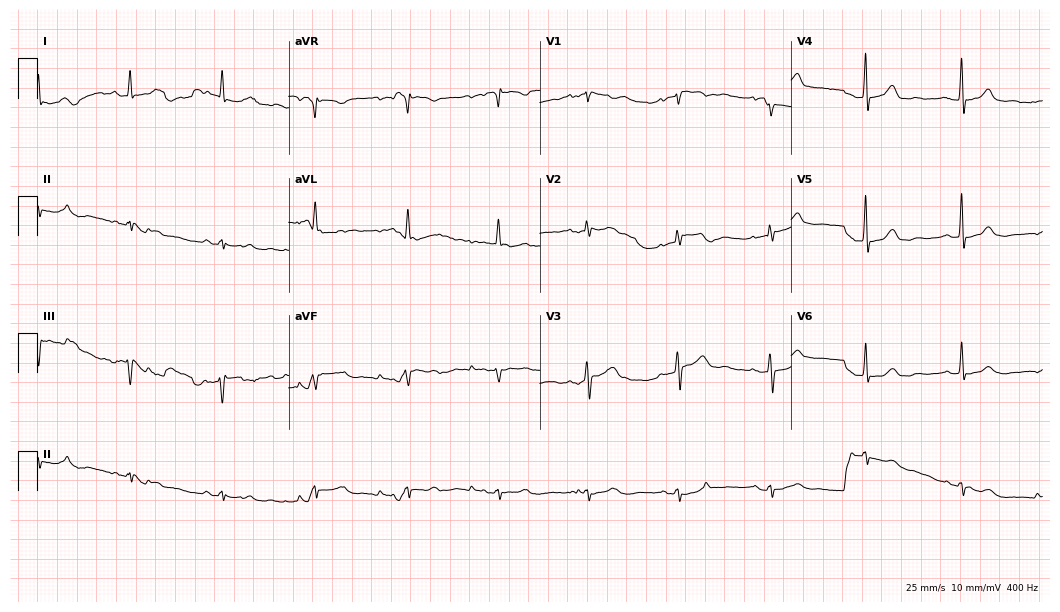
12-lead ECG from a female patient, 77 years old. No first-degree AV block, right bundle branch block, left bundle branch block, sinus bradycardia, atrial fibrillation or sinus tachycardia recorded for this tracing. Findings outside these six are not listed.